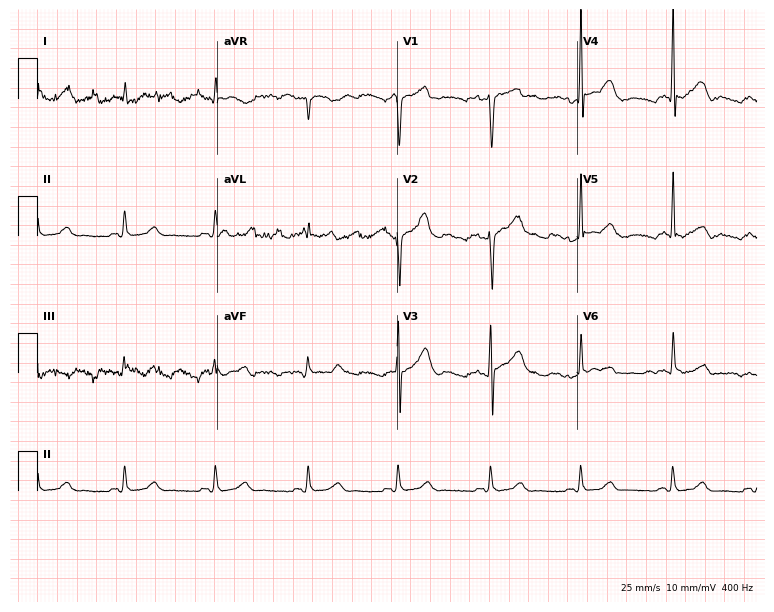
12-lead ECG (7.3-second recording at 400 Hz) from a 70-year-old man. Labelled as a normal ECG.